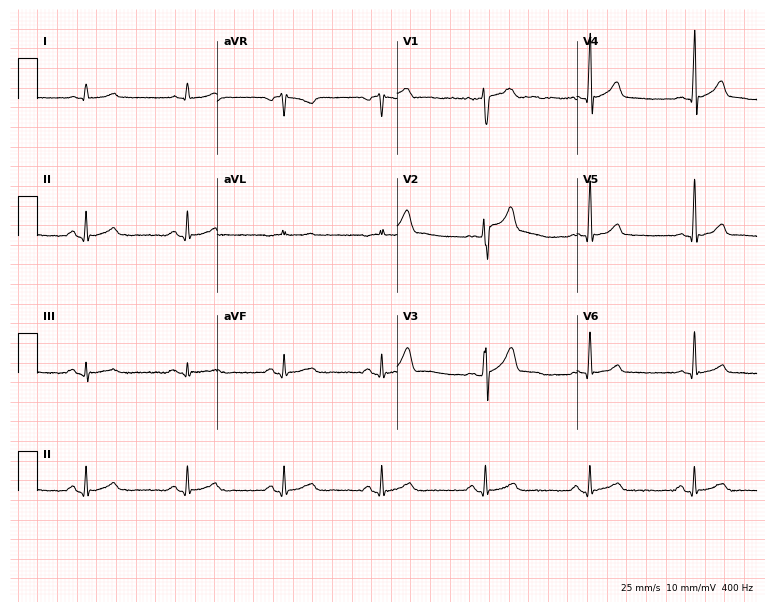
12-lead ECG from a male patient, 48 years old. No first-degree AV block, right bundle branch block, left bundle branch block, sinus bradycardia, atrial fibrillation or sinus tachycardia recorded for this tracing.